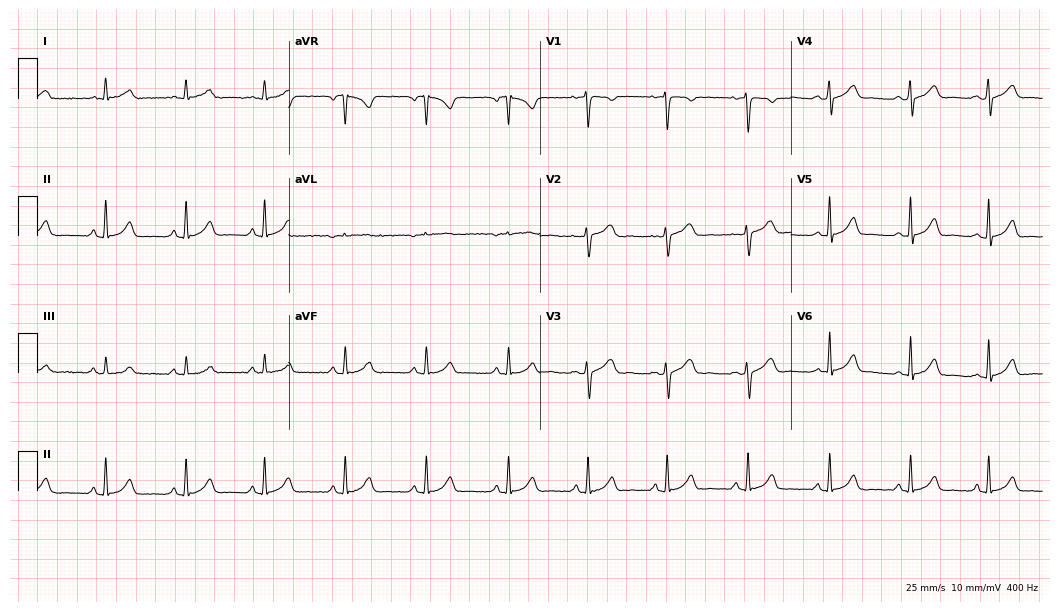
ECG (10.2-second recording at 400 Hz) — a 42-year-old female patient. Screened for six findings — first-degree AV block, right bundle branch block (RBBB), left bundle branch block (LBBB), sinus bradycardia, atrial fibrillation (AF), sinus tachycardia — none is recorded.